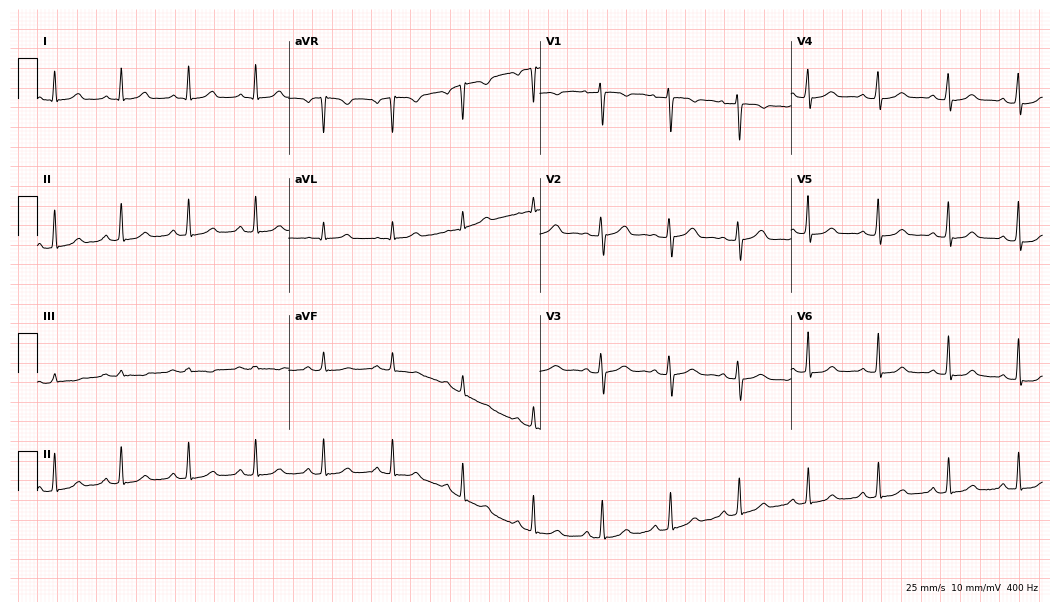
12-lead ECG (10.2-second recording at 400 Hz) from a woman, 44 years old. Labelled as a normal ECG.